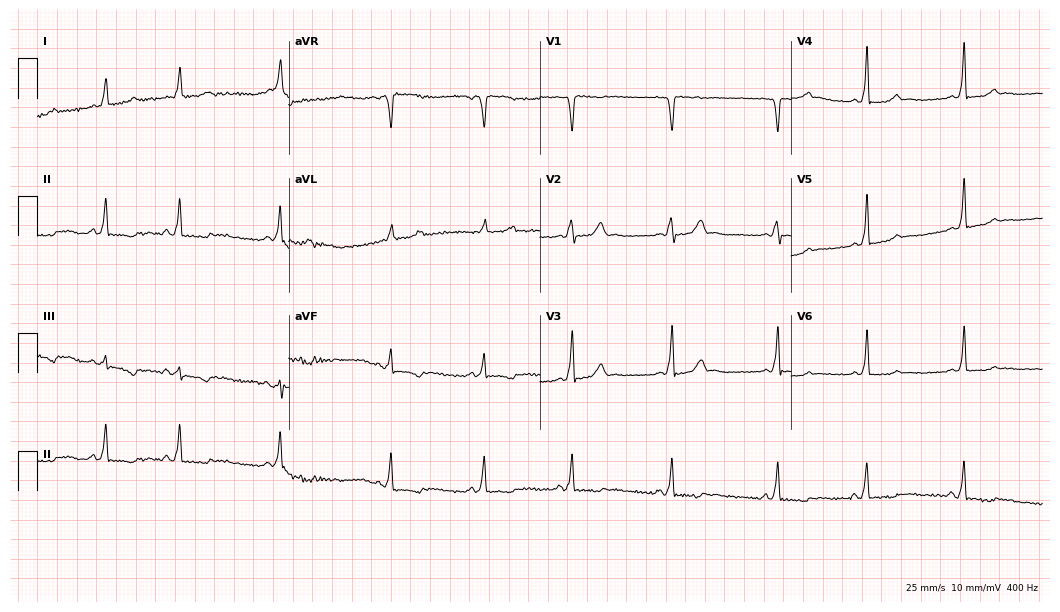
Resting 12-lead electrocardiogram (10.2-second recording at 400 Hz). Patient: a female, 26 years old. None of these six findings is recorded: first-degree AV block, right bundle branch block, left bundle branch block, sinus bradycardia, atrial fibrillation, sinus tachycardia.